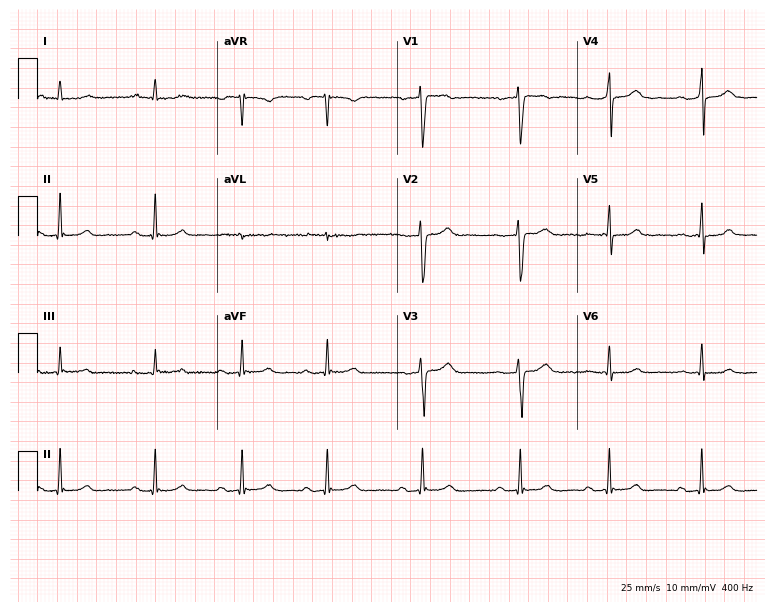
Electrocardiogram, a female, 34 years old. Of the six screened findings (first-degree AV block, right bundle branch block, left bundle branch block, sinus bradycardia, atrial fibrillation, sinus tachycardia), none is recorded. Other findings, if any, are not listed.